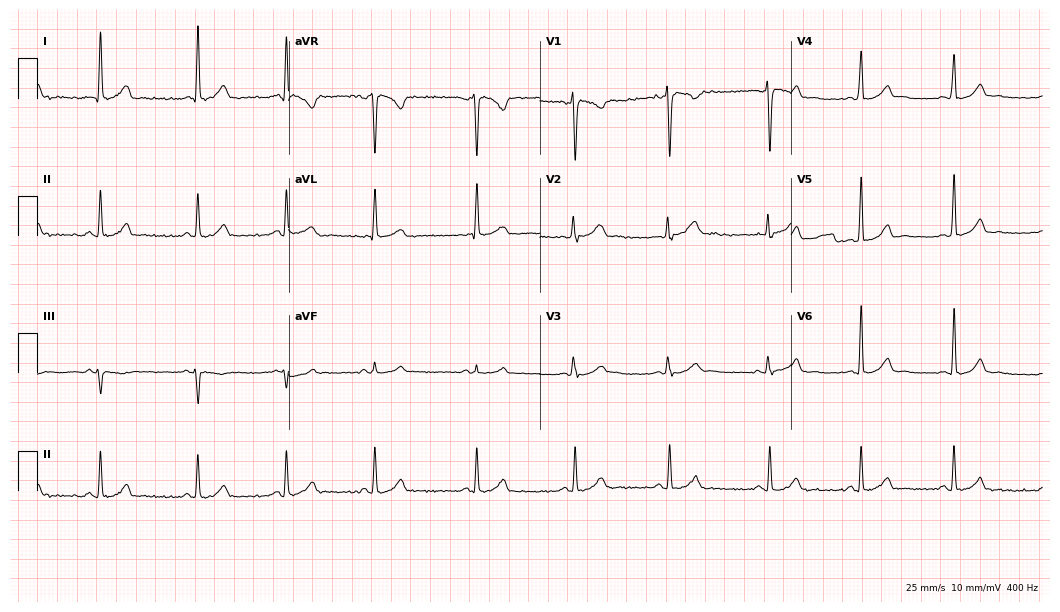
12-lead ECG from a 31-year-old woman. Labelled as a normal ECG.